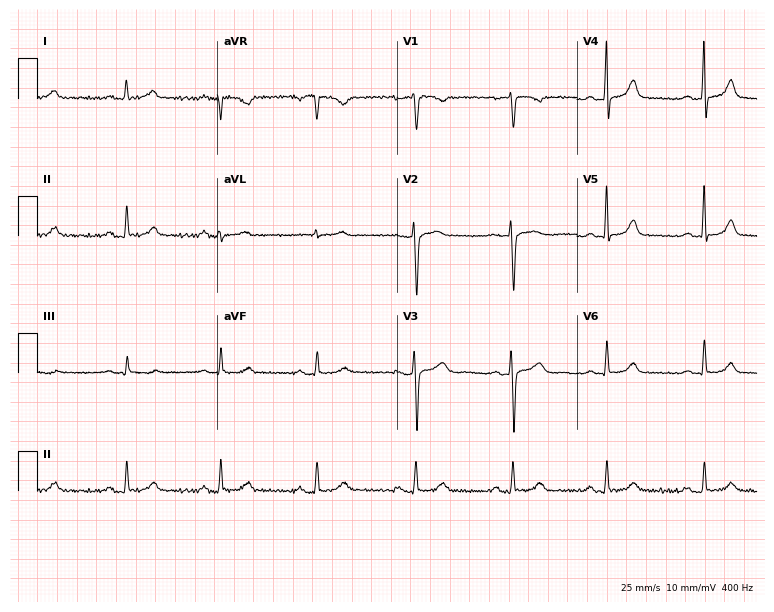
Resting 12-lead electrocardiogram (7.3-second recording at 400 Hz). Patient: a woman, 42 years old. None of these six findings is recorded: first-degree AV block, right bundle branch block, left bundle branch block, sinus bradycardia, atrial fibrillation, sinus tachycardia.